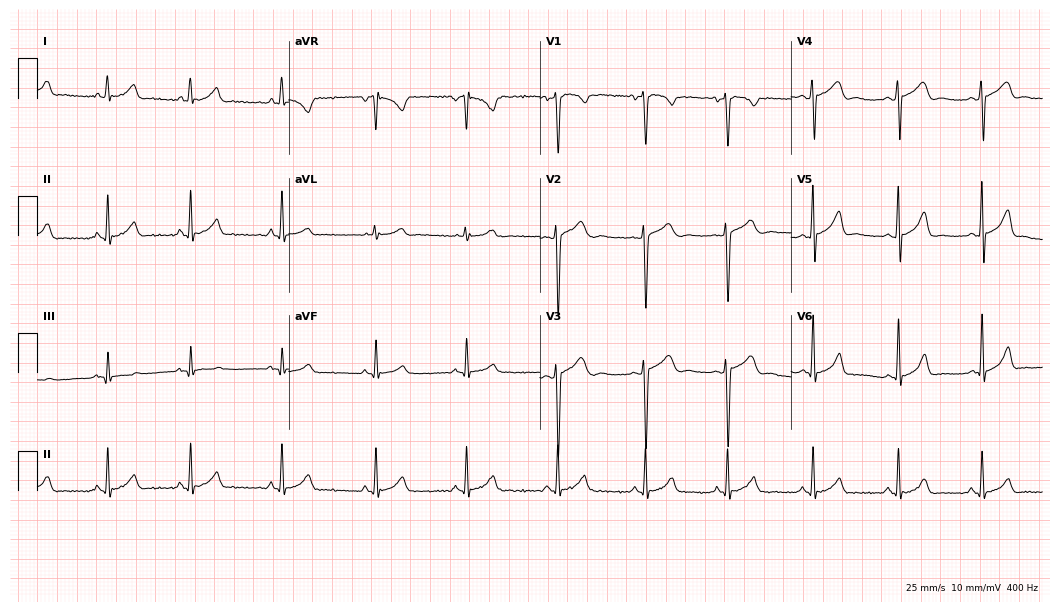
Standard 12-lead ECG recorded from a male patient, 19 years old. None of these six findings is recorded: first-degree AV block, right bundle branch block (RBBB), left bundle branch block (LBBB), sinus bradycardia, atrial fibrillation (AF), sinus tachycardia. Only these six findings were labelled.